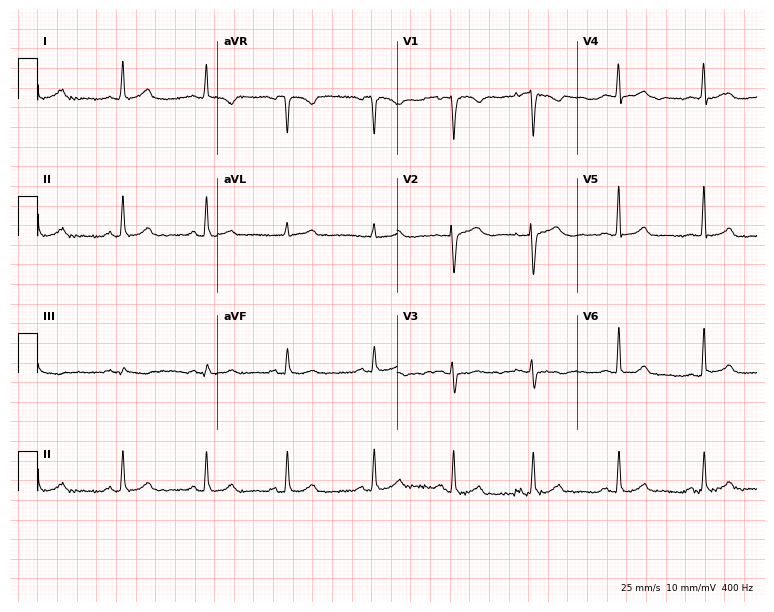
ECG (7.3-second recording at 400 Hz) — a 41-year-old female. Labelled as a normal ECG.